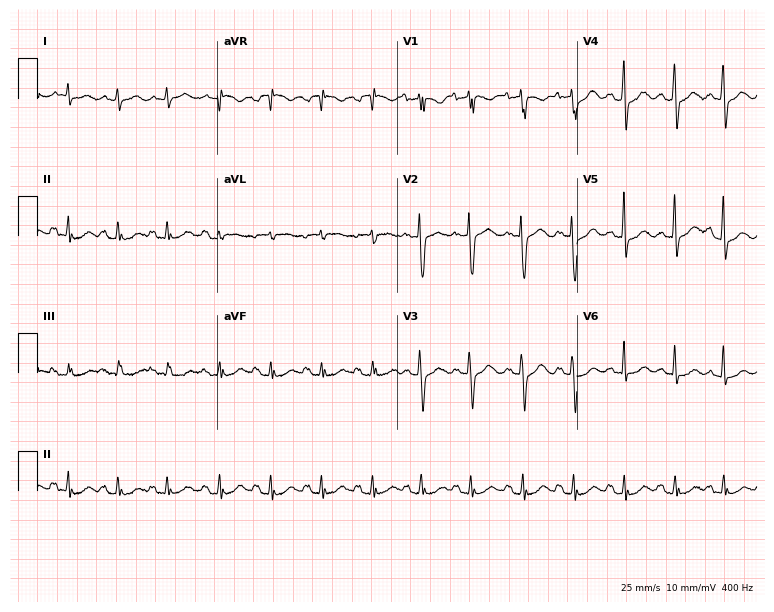
ECG (7.3-second recording at 400 Hz) — a female patient, 72 years old. Findings include sinus tachycardia (a sinus rate of 100 beats per minute or more).